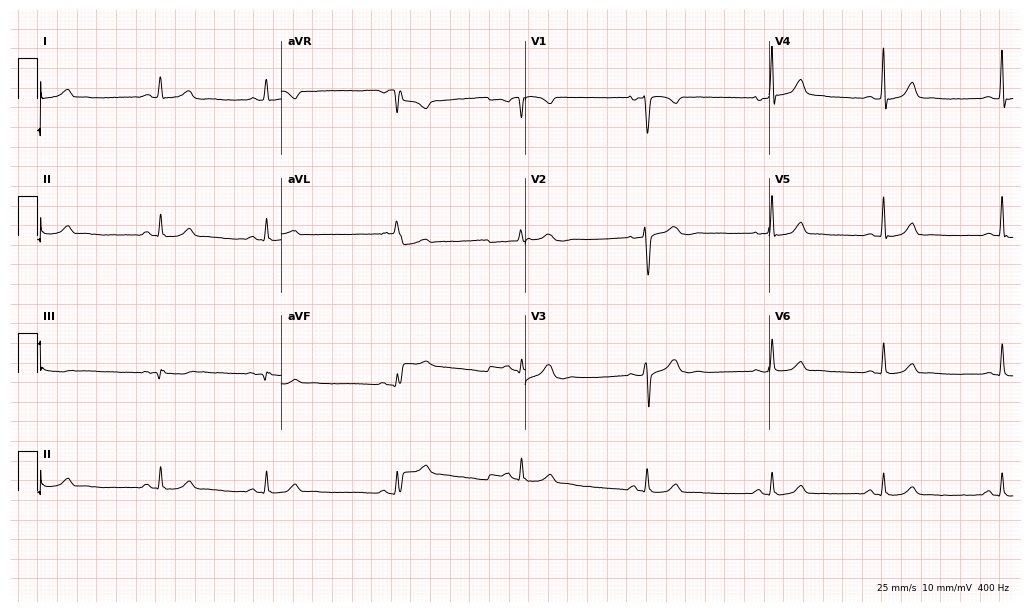
Standard 12-lead ECG recorded from a 22-year-old female. Read as a normal ECG.